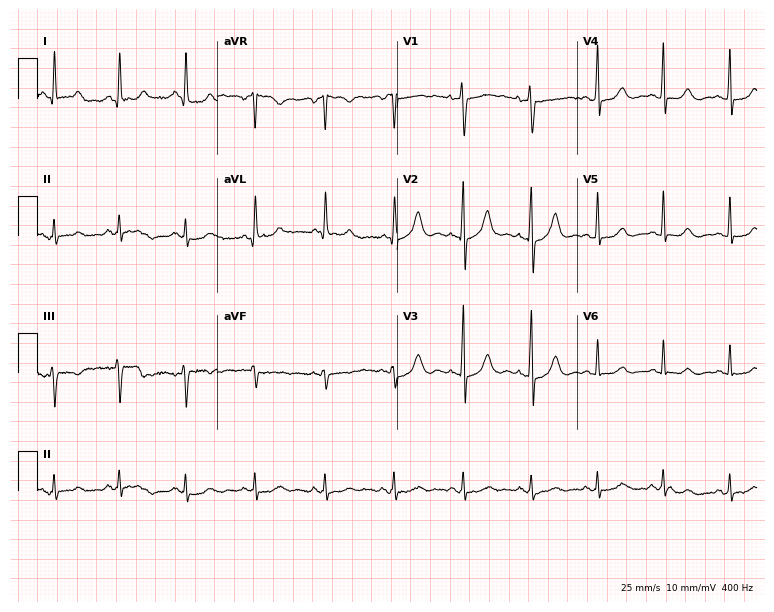
Standard 12-lead ECG recorded from a female patient, 57 years old. Read as a normal ECG.